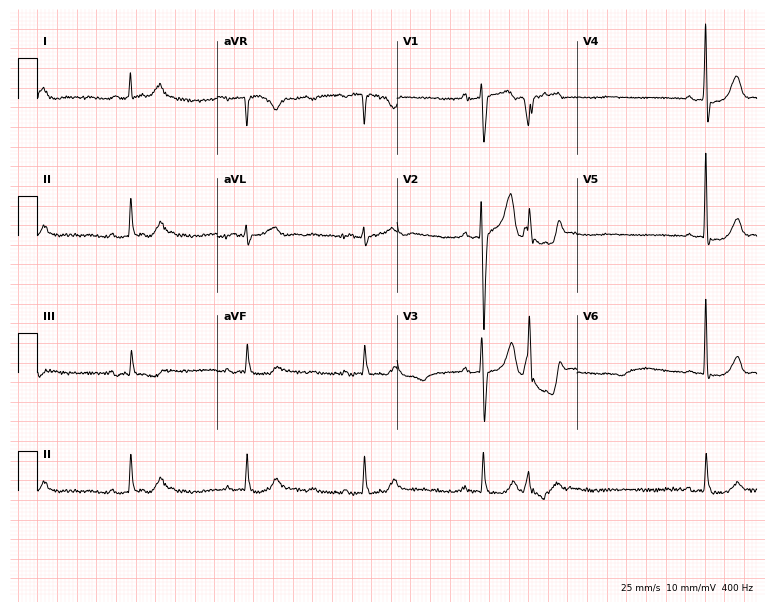
Resting 12-lead electrocardiogram. Patient: a 75-year-old man. None of these six findings is recorded: first-degree AV block, right bundle branch block (RBBB), left bundle branch block (LBBB), sinus bradycardia, atrial fibrillation (AF), sinus tachycardia. Findings outside these six are not listed.